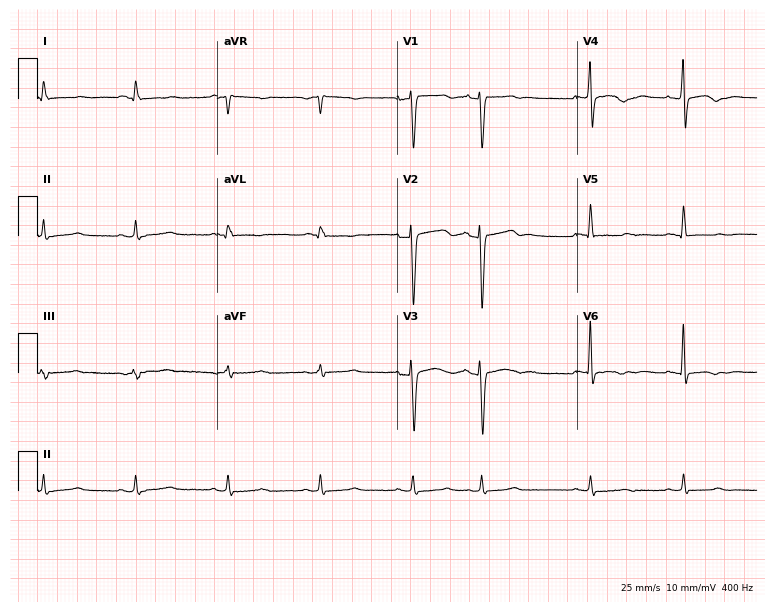
12-lead ECG from a male patient, 63 years old (7.3-second recording at 400 Hz). No first-degree AV block, right bundle branch block, left bundle branch block, sinus bradycardia, atrial fibrillation or sinus tachycardia recorded for this tracing.